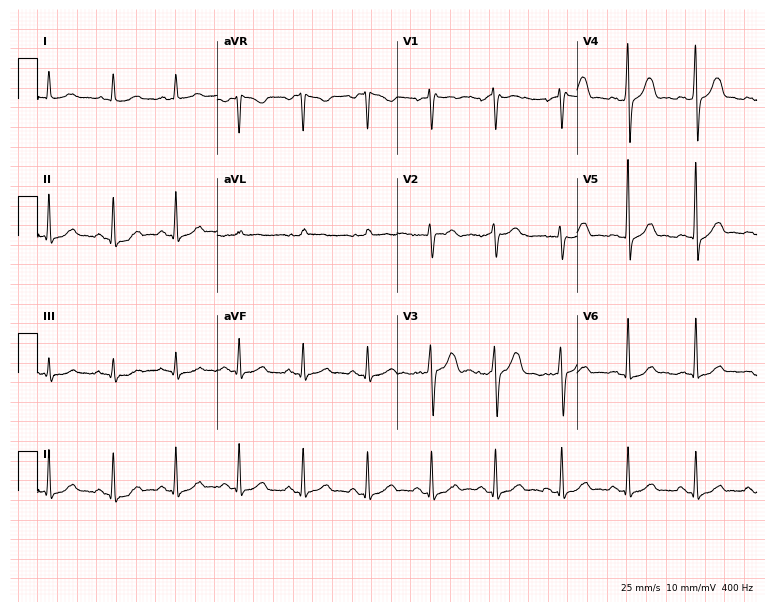
12-lead ECG from a male, 57 years old. Recorded interpretation: within normal limits.